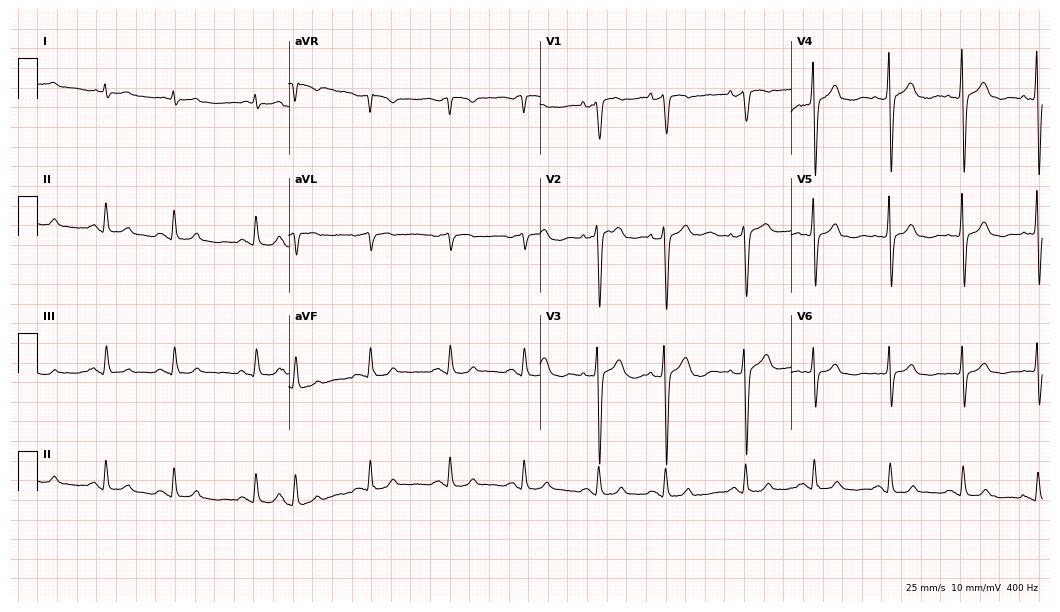
Resting 12-lead electrocardiogram. Patient: a man, 74 years old. None of these six findings is recorded: first-degree AV block, right bundle branch block, left bundle branch block, sinus bradycardia, atrial fibrillation, sinus tachycardia. Only these six findings were labelled.